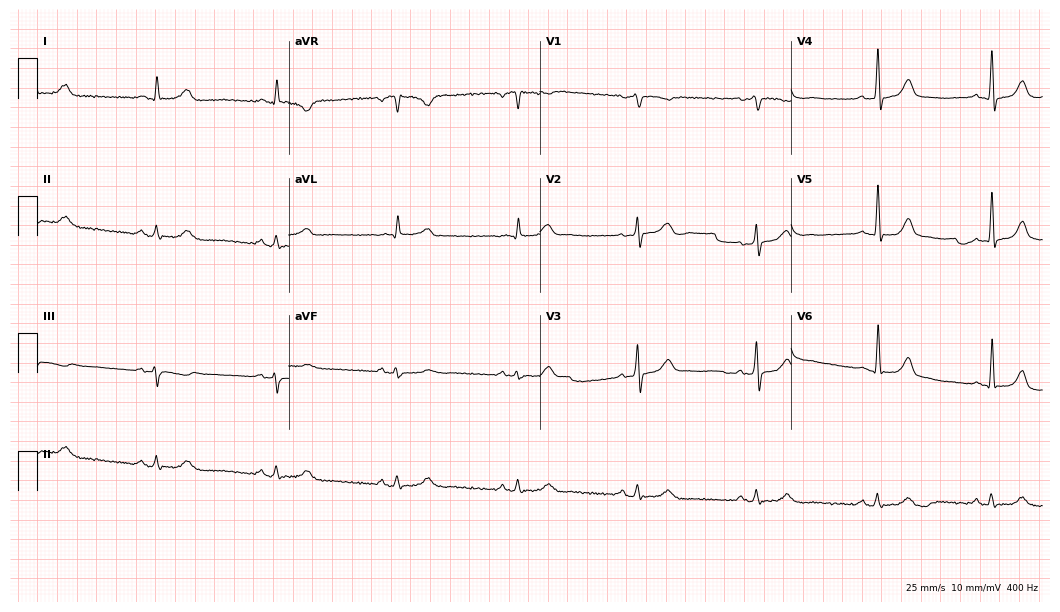
ECG (10.2-second recording at 400 Hz) — a 65-year-old male. Labelled as a normal ECG.